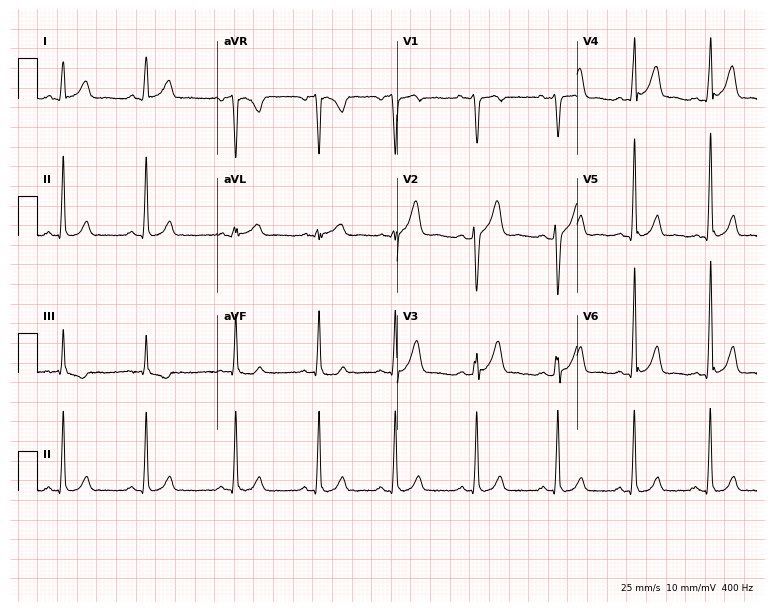
Standard 12-lead ECG recorded from a 21-year-old male patient. Read as a normal ECG.